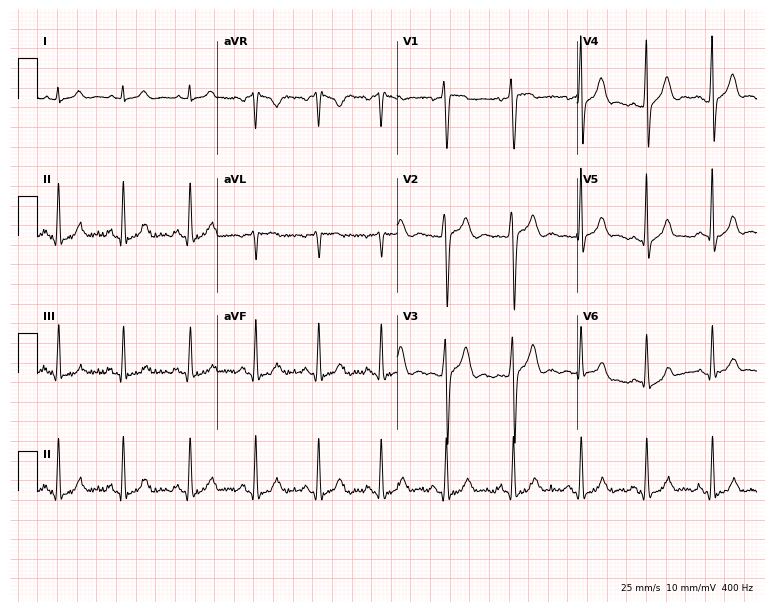
ECG (7.3-second recording at 400 Hz) — a male patient, 23 years old. Labelled as a normal ECG.